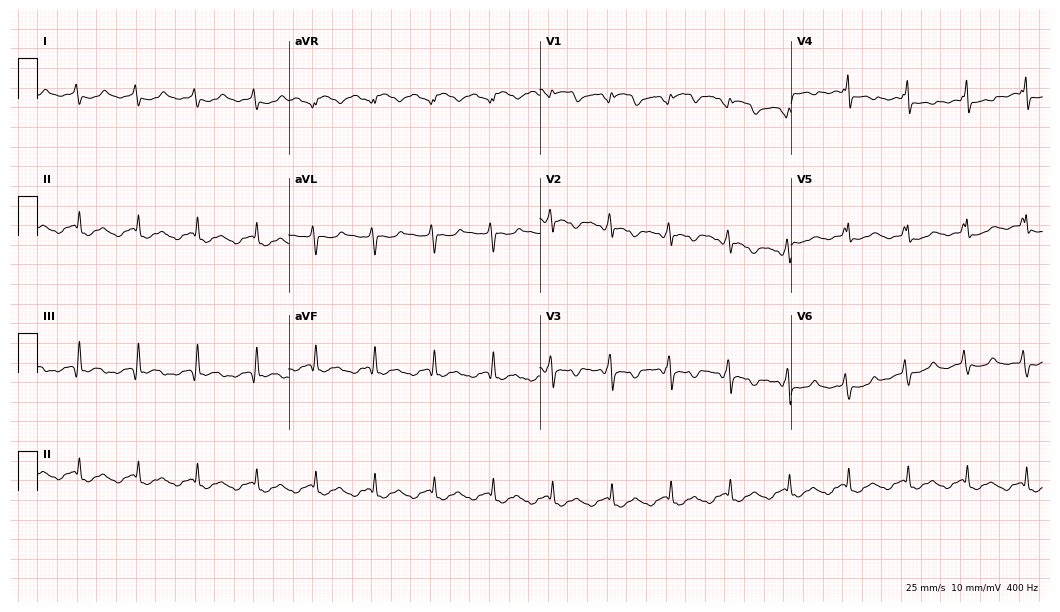
12-lead ECG from a 71-year-old female patient. No first-degree AV block, right bundle branch block, left bundle branch block, sinus bradycardia, atrial fibrillation or sinus tachycardia recorded for this tracing. Findings outside these six are not listed.